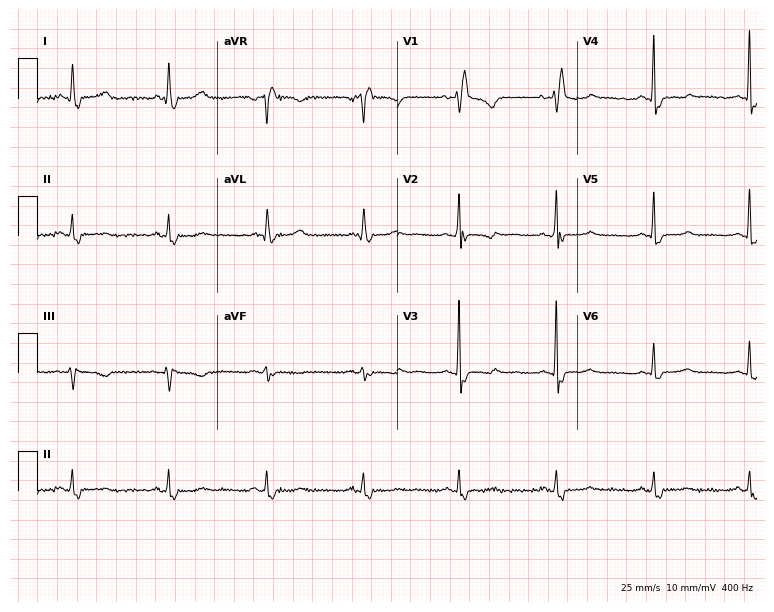
12-lead ECG from a 51-year-old female (7.3-second recording at 400 Hz). Shows right bundle branch block (RBBB).